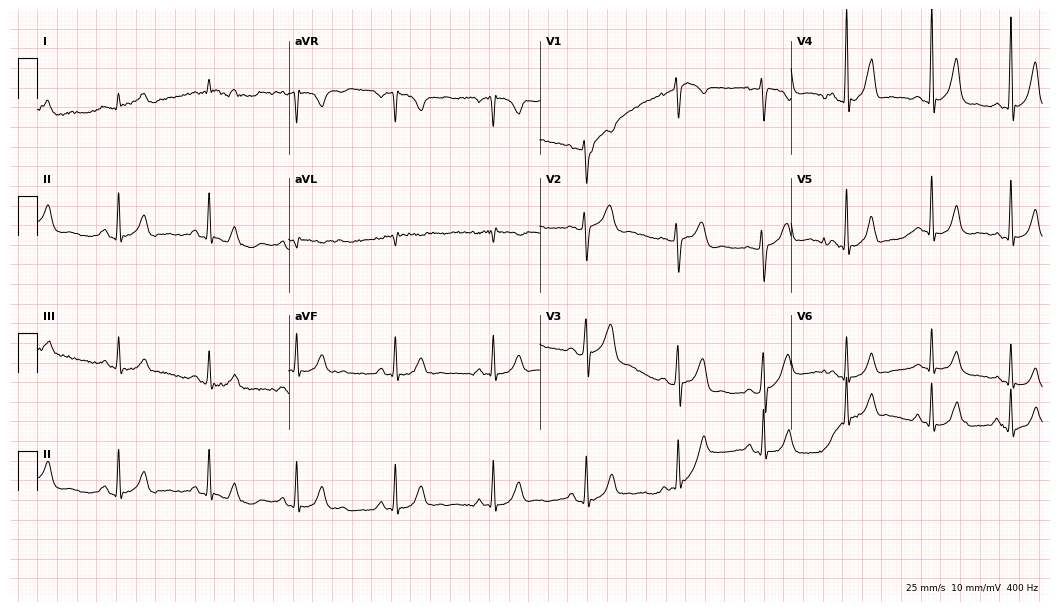
Standard 12-lead ECG recorded from a 22-year-old man. None of these six findings is recorded: first-degree AV block, right bundle branch block, left bundle branch block, sinus bradycardia, atrial fibrillation, sinus tachycardia.